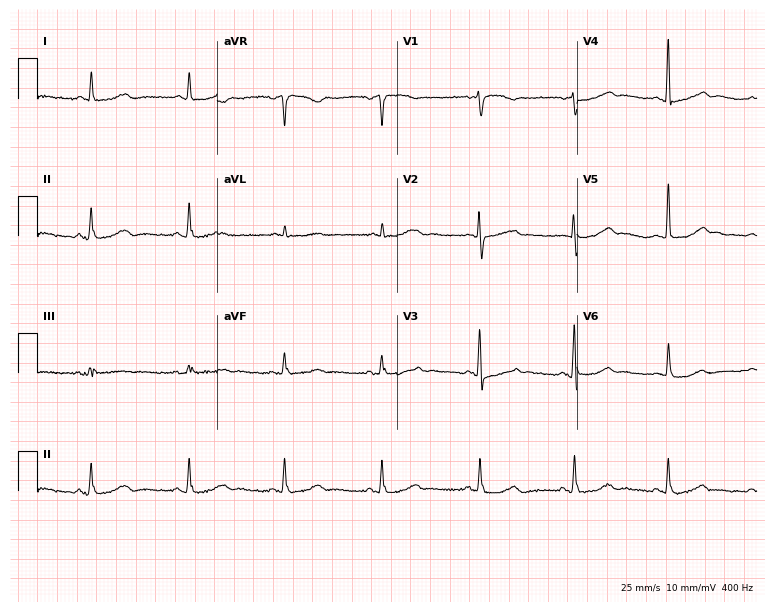
Resting 12-lead electrocardiogram (7.3-second recording at 400 Hz). Patient: a woman, 57 years old. Read as a normal ECG.